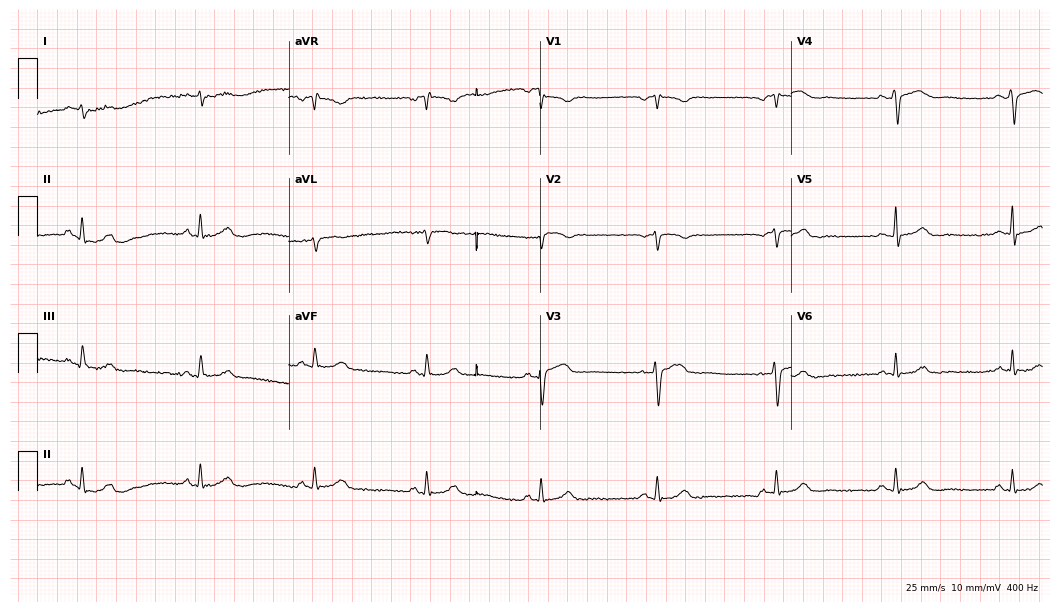
12-lead ECG (10.2-second recording at 400 Hz) from a 50-year-old woman. Screened for six findings — first-degree AV block, right bundle branch block, left bundle branch block, sinus bradycardia, atrial fibrillation, sinus tachycardia — none is recorded.